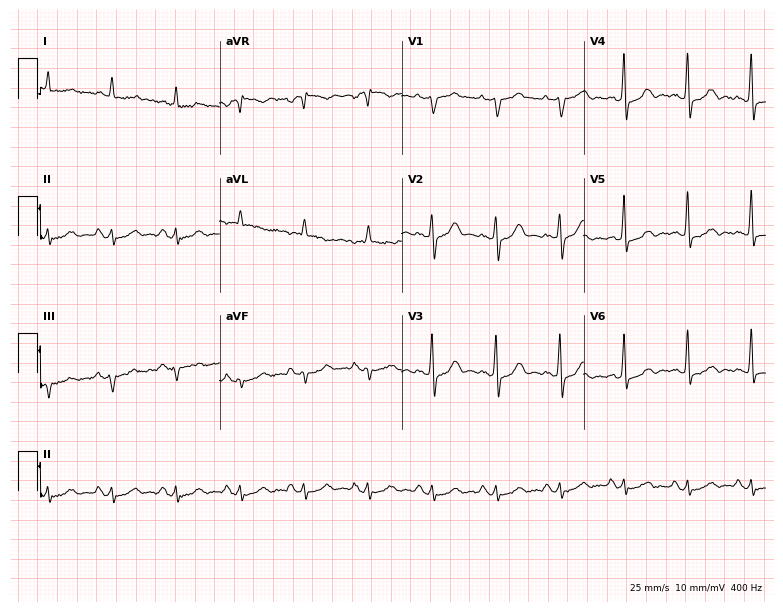
12-lead ECG from an 85-year-old man (7.4-second recording at 400 Hz). No first-degree AV block, right bundle branch block (RBBB), left bundle branch block (LBBB), sinus bradycardia, atrial fibrillation (AF) or sinus tachycardia recorded for this tracing. Only these six findings were labelled.